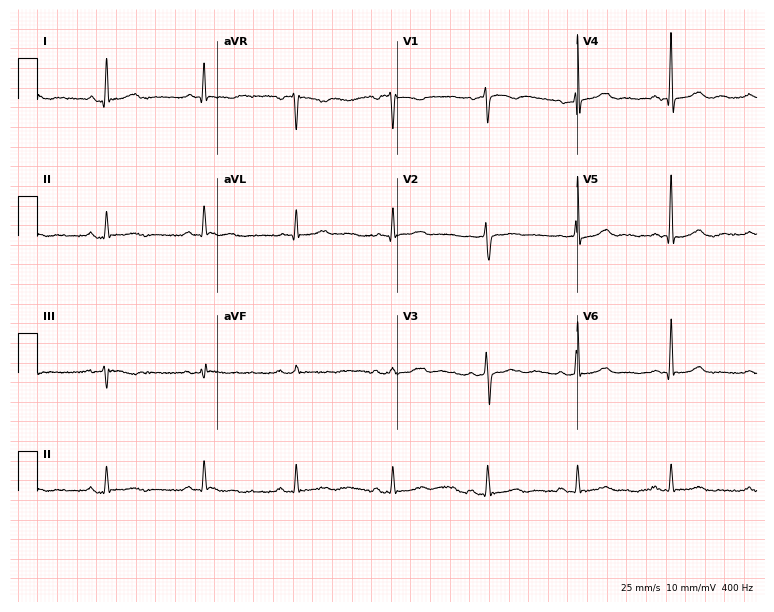
12-lead ECG from a 79-year-old female patient. Labelled as a normal ECG.